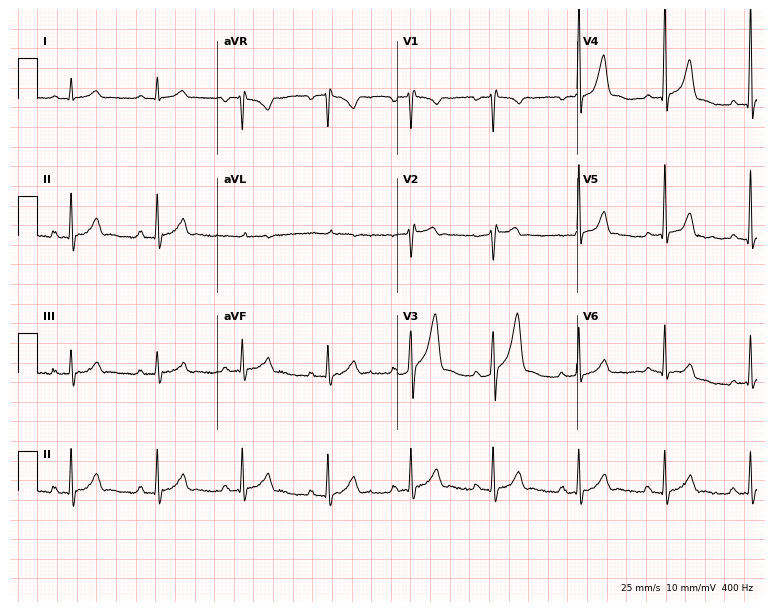
ECG — a 37-year-old man. Labelled as a normal ECG.